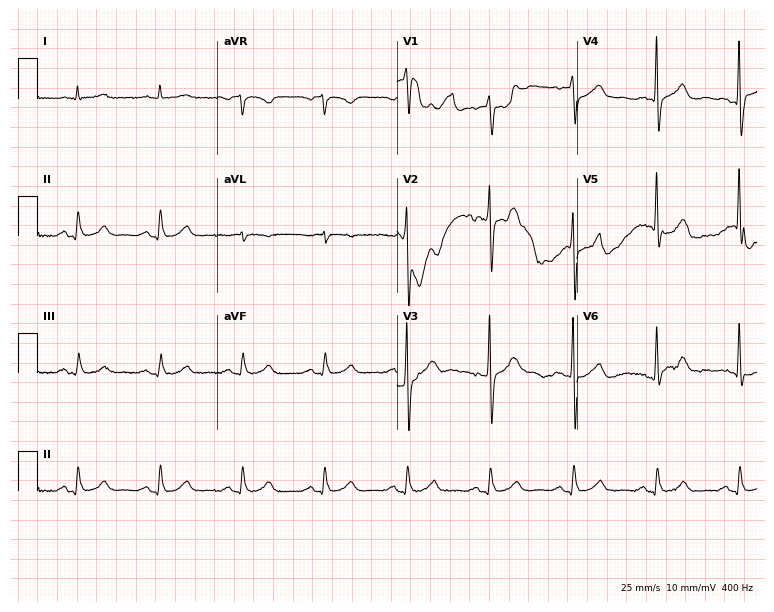
ECG — a 70-year-old male patient. Screened for six findings — first-degree AV block, right bundle branch block (RBBB), left bundle branch block (LBBB), sinus bradycardia, atrial fibrillation (AF), sinus tachycardia — none is recorded. Other findings, if any, are not listed.